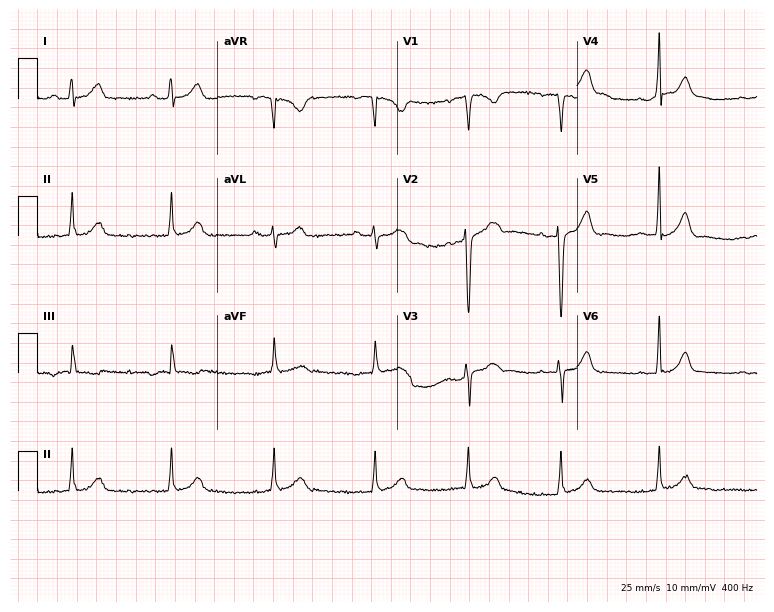
Standard 12-lead ECG recorded from a 20-year-old female patient. Read as a normal ECG.